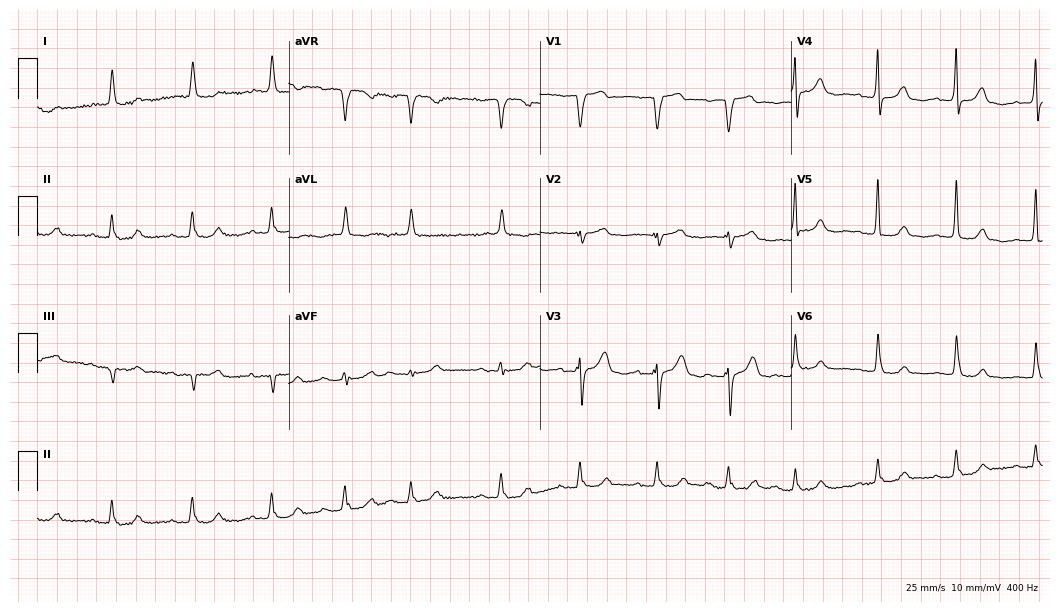
Standard 12-lead ECG recorded from a woman, 75 years old (10.2-second recording at 400 Hz). The tracing shows first-degree AV block.